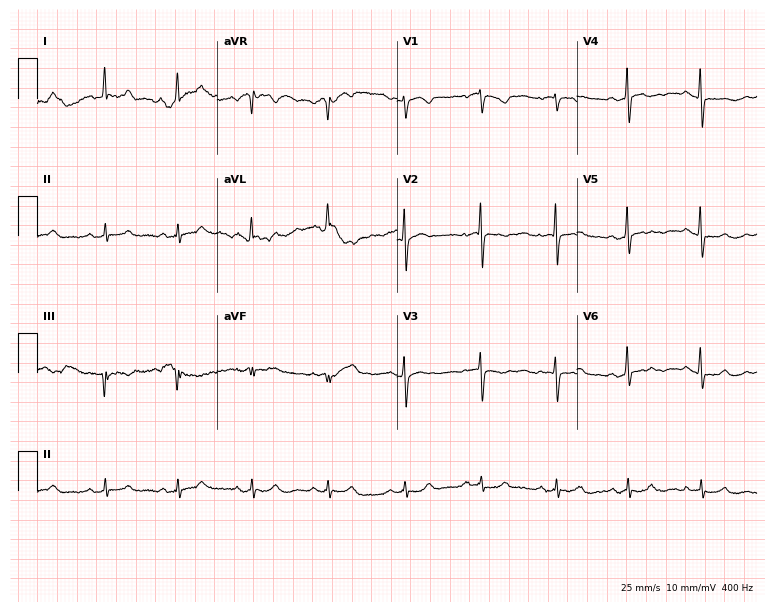
Electrocardiogram (7.3-second recording at 400 Hz), a female patient, 76 years old. Overall reading on record: normal ECG.